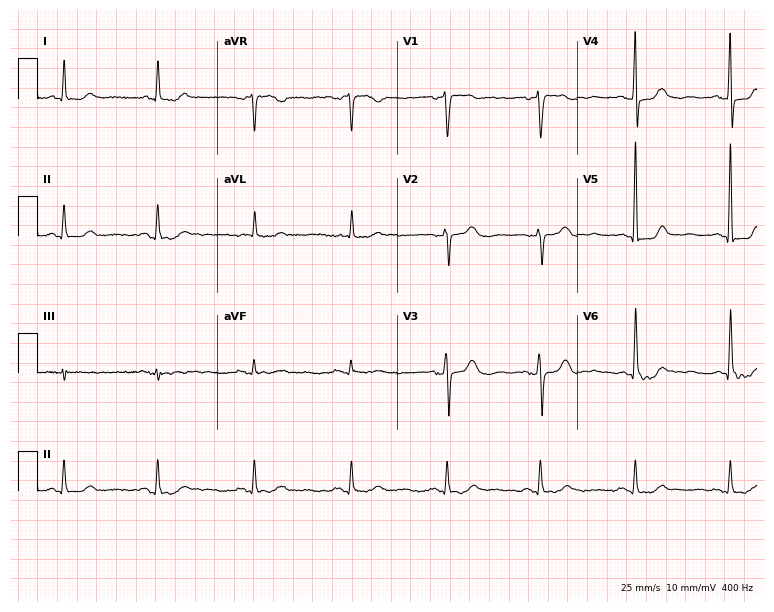
Standard 12-lead ECG recorded from a 63-year-old female patient. Read as a normal ECG.